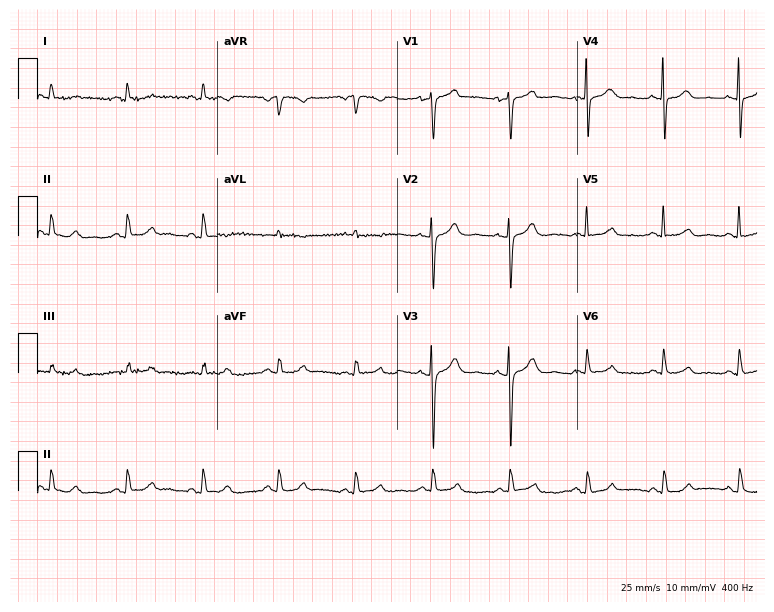
Standard 12-lead ECG recorded from a 77-year-old female patient (7.3-second recording at 400 Hz). Read as a normal ECG.